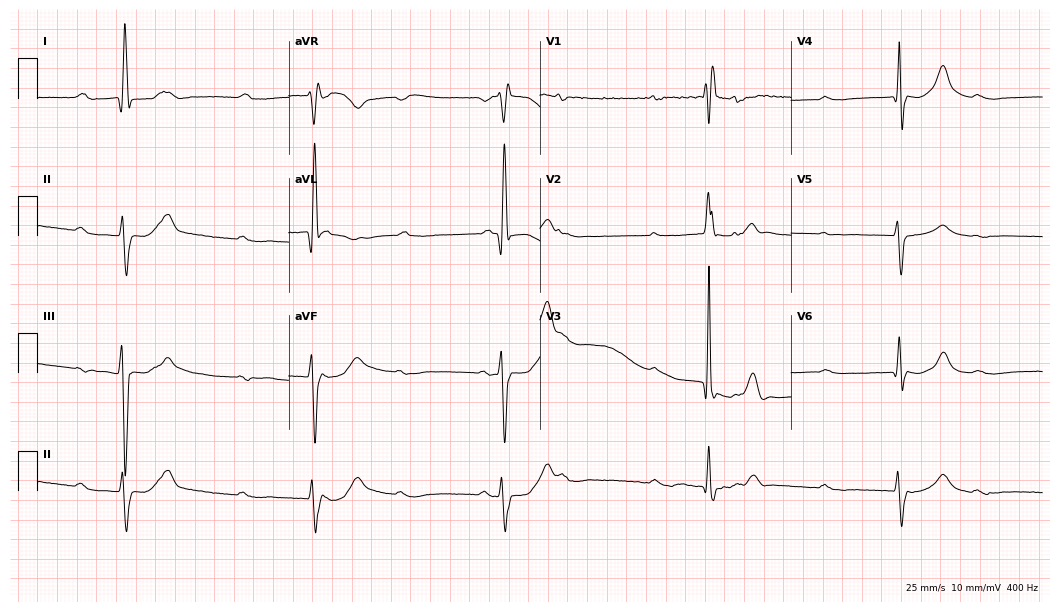
ECG (10.2-second recording at 400 Hz) — a female, 63 years old. Screened for six findings — first-degree AV block, right bundle branch block (RBBB), left bundle branch block (LBBB), sinus bradycardia, atrial fibrillation (AF), sinus tachycardia — none is recorded. Findings outside these six are not listed.